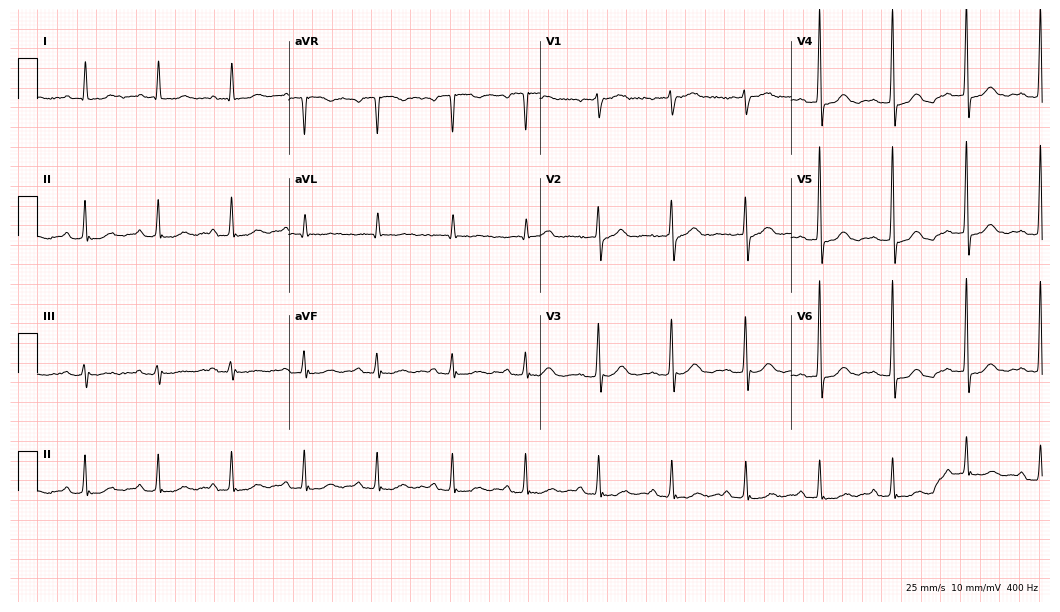
Resting 12-lead electrocardiogram. Patient: a female, 75 years old. None of these six findings is recorded: first-degree AV block, right bundle branch block (RBBB), left bundle branch block (LBBB), sinus bradycardia, atrial fibrillation (AF), sinus tachycardia. Other findings, if any, are not listed.